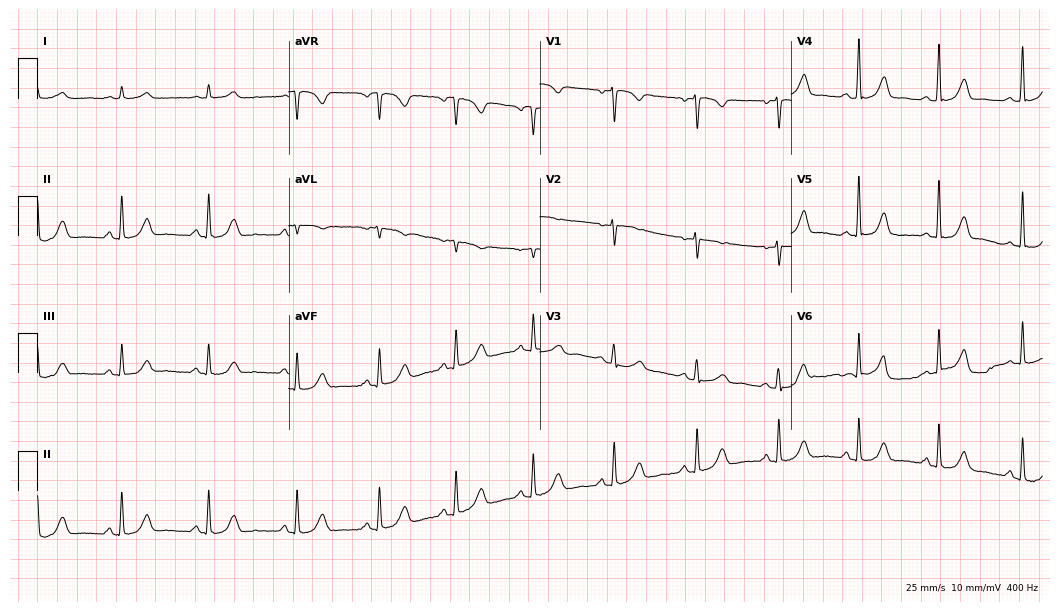
ECG — a female, 47 years old. Labelled as a normal ECG.